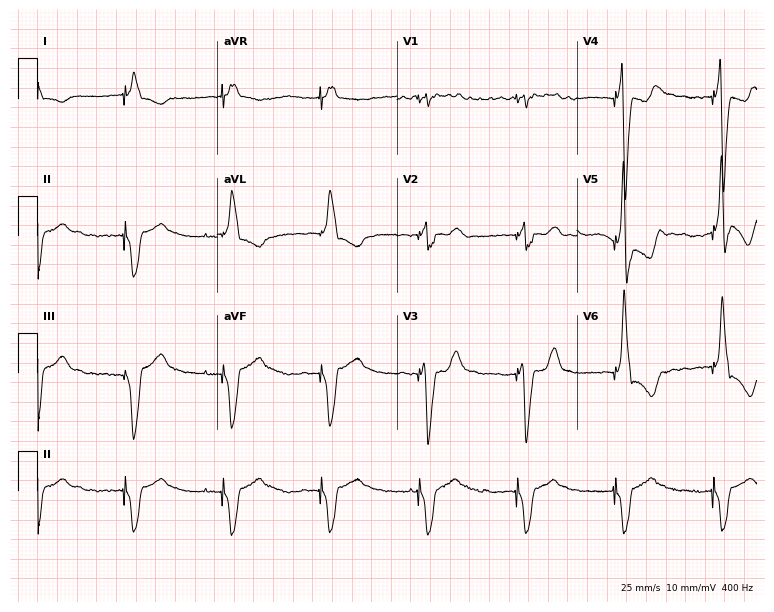
12-lead ECG (7.3-second recording at 400 Hz) from an 83-year-old male patient. Screened for six findings — first-degree AV block, right bundle branch block (RBBB), left bundle branch block (LBBB), sinus bradycardia, atrial fibrillation (AF), sinus tachycardia — none is recorded.